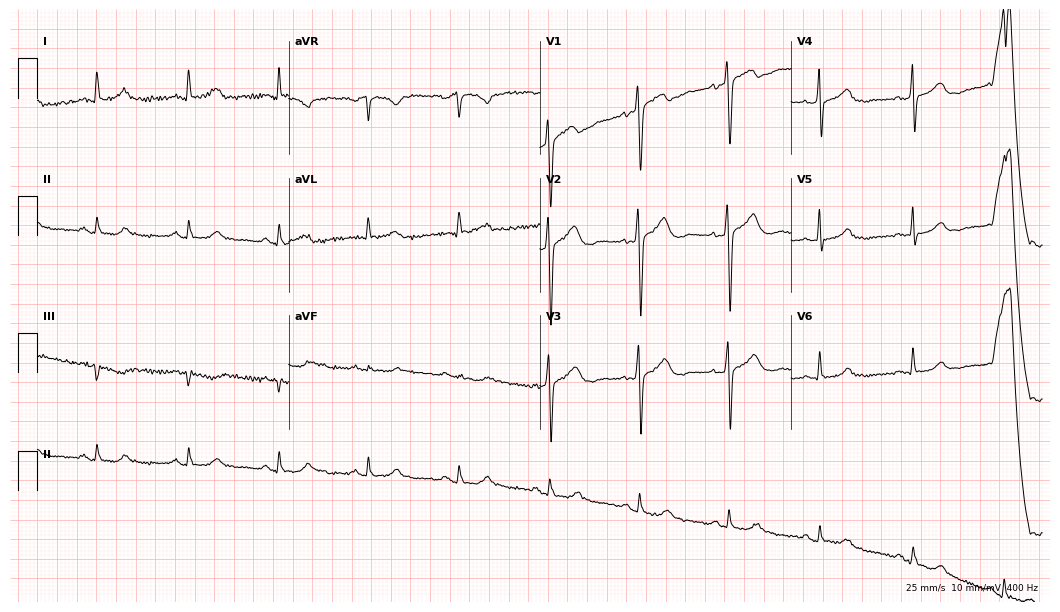
Resting 12-lead electrocardiogram. Patient: a 58-year-old female. None of these six findings is recorded: first-degree AV block, right bundle branch block, left bundle branch block, sinus bradycardia, atrial fibrillation, sinus tachycardia. Only these six findings were labelled.